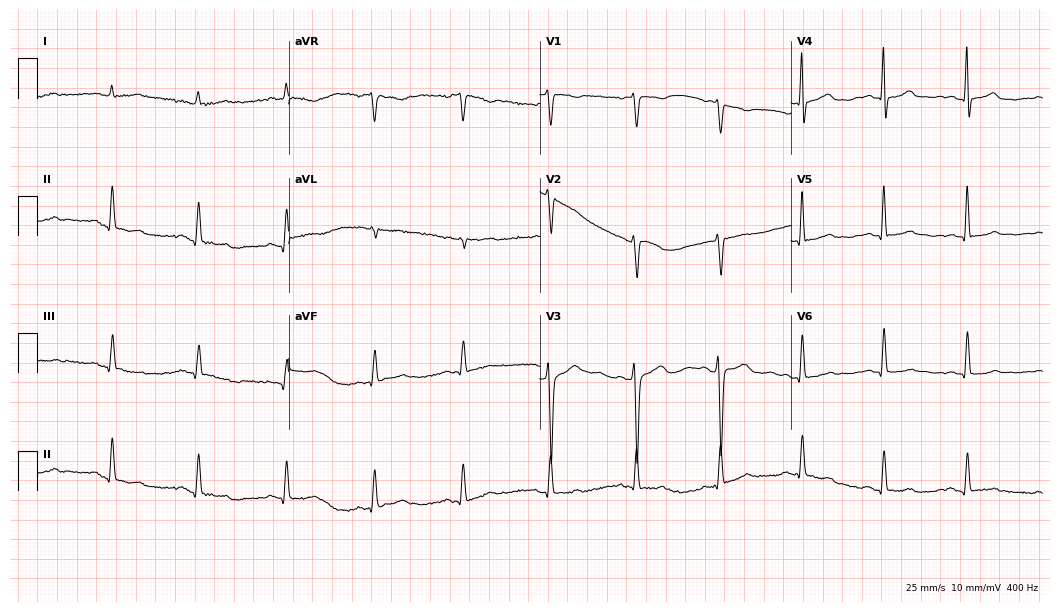
Electrocardiogram, a 47-year-old male. Overall reading on record: normal ECG.